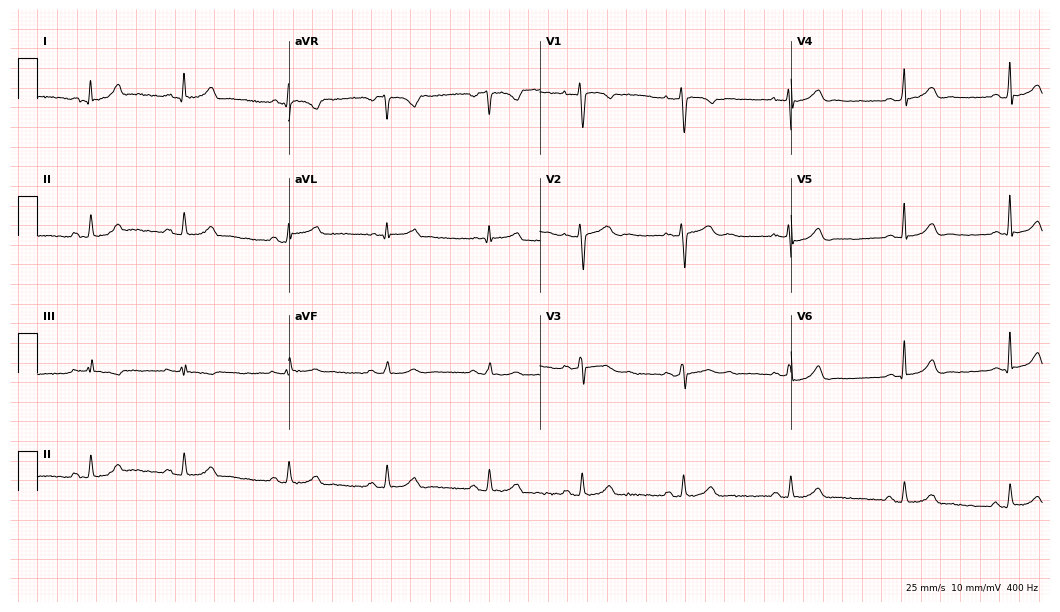
Standard 12-lead ECG recorded from a female, 30 years old. Read as a normal ECG.